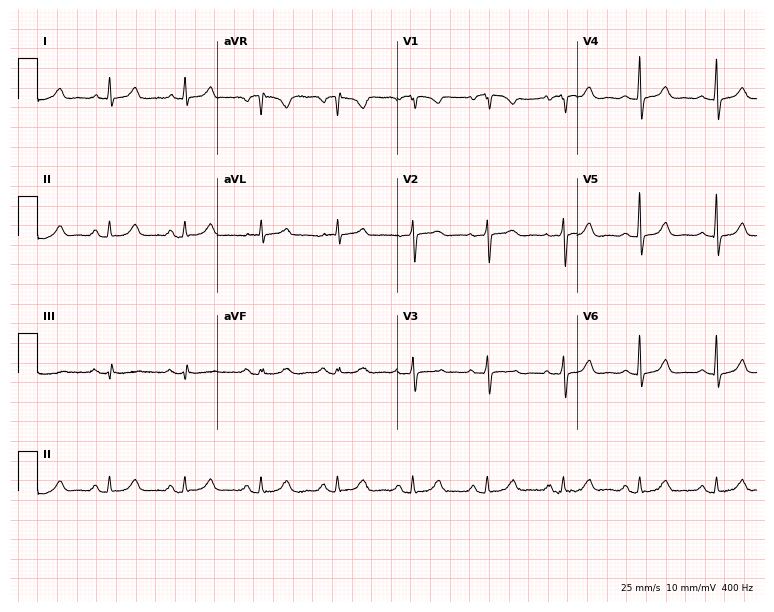
Electrocardiogram (7.3-second recording at 400 Hz), a 77-year-old female patient. Overall reading on record: normal ECG.